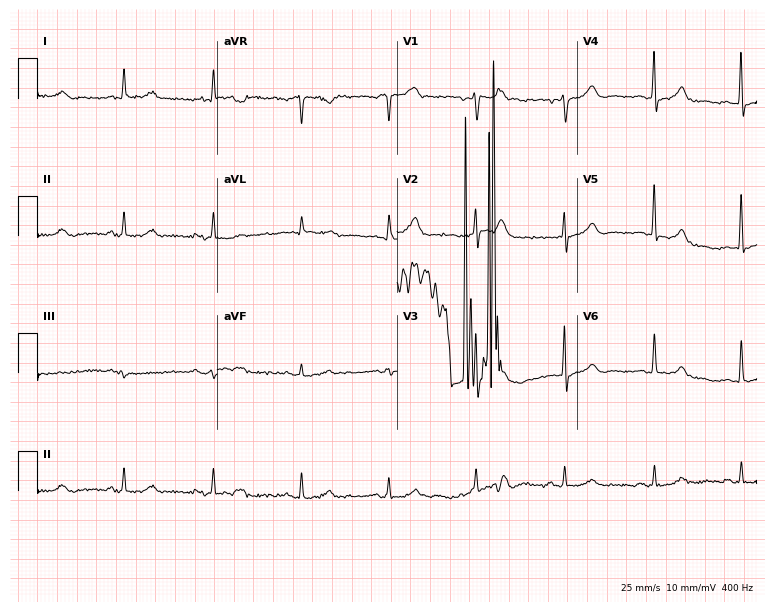
ECG (7.3-second recording at 400 Hz) — an 85-year-old male patient. Screened for six findings — first-degree AV block, right bundle branch block (RBBB), left bundle branch block (LBBB), sinus bradycardia, atrial fibrillation (AF), sinus tachycardia — none is recorded. Findings outside these six are not listed.